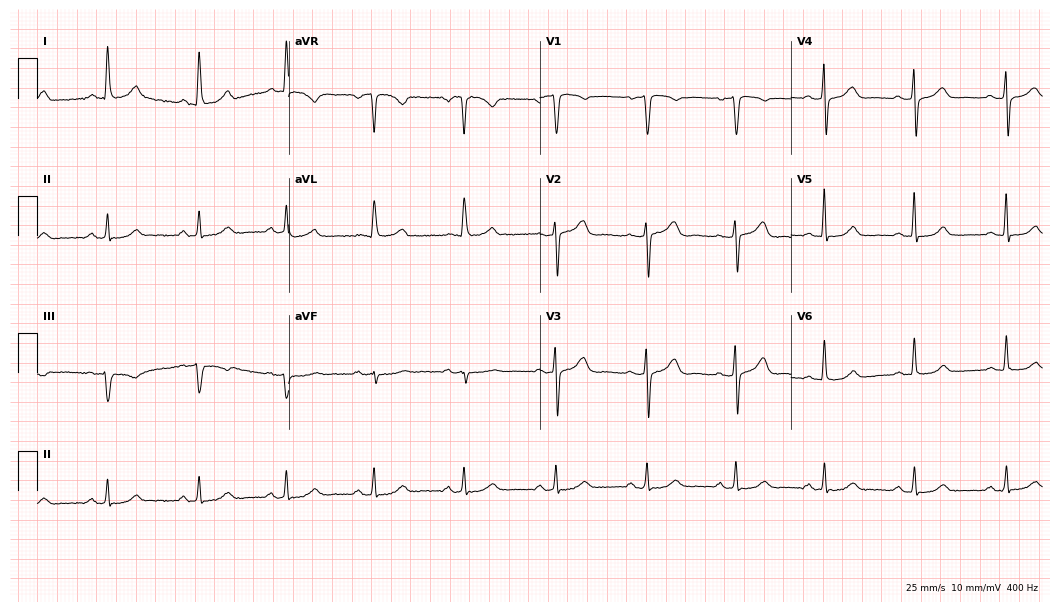
12-lead ECG from a 67-year-old woman. No first-degree AV block, right bundle branch block, left bundle branch block, sinus bradycardia, atrial fibrillation or sinus tachycardia recorded for this tracing.